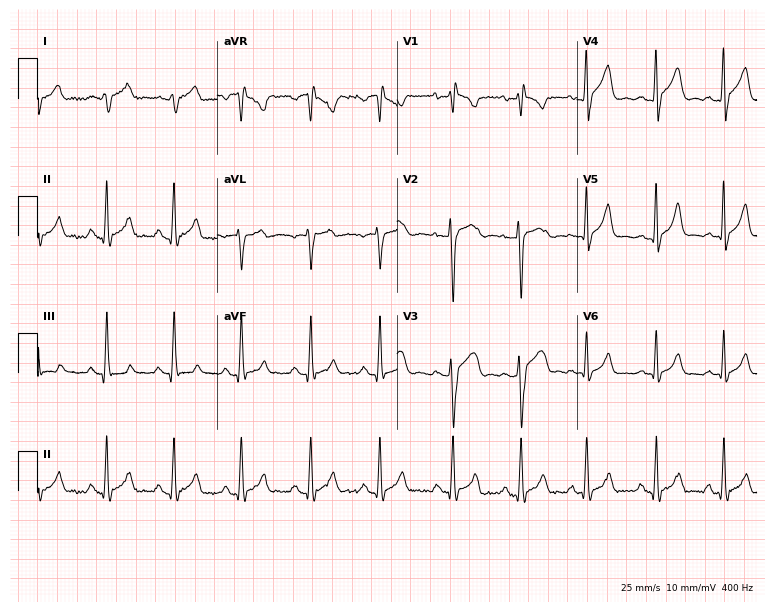
Standard 12-lead ECG recorded from a 21-year-old male patient. None of these six findings is recorded: first-degree AV block, right bundle branch block, left bundle branch block, sinus bradycardia, atrial fibrillation, sinus tachycardia. Only these six findings were labelled.